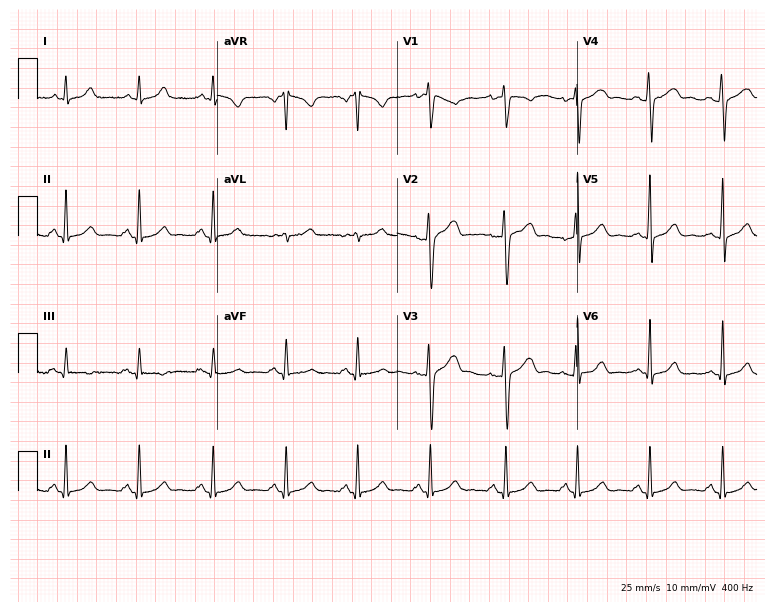
Resting 12-lead electrocardiogram (7.3-second recording at 400 Hz). Patient: a 33-year-old female. Read as a normal ECG.